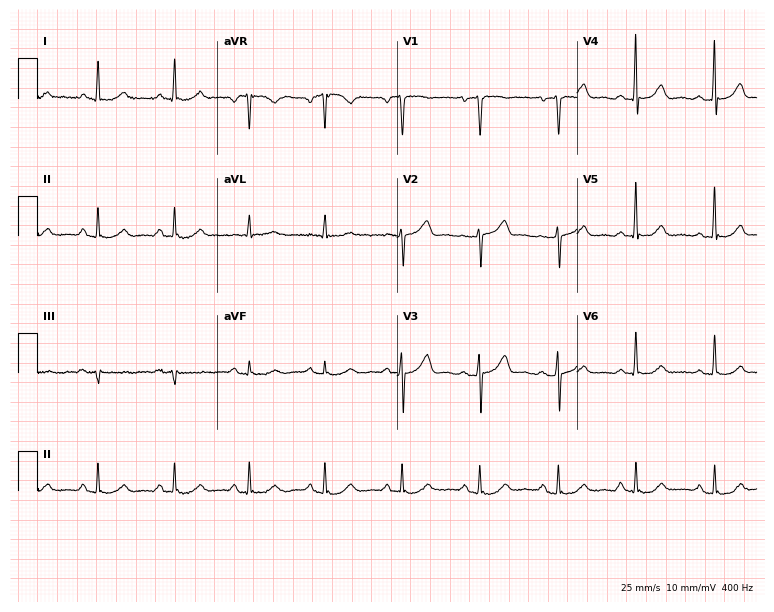
12-lead ECG from a 55-year-old female. Labelled as a normal ECG.